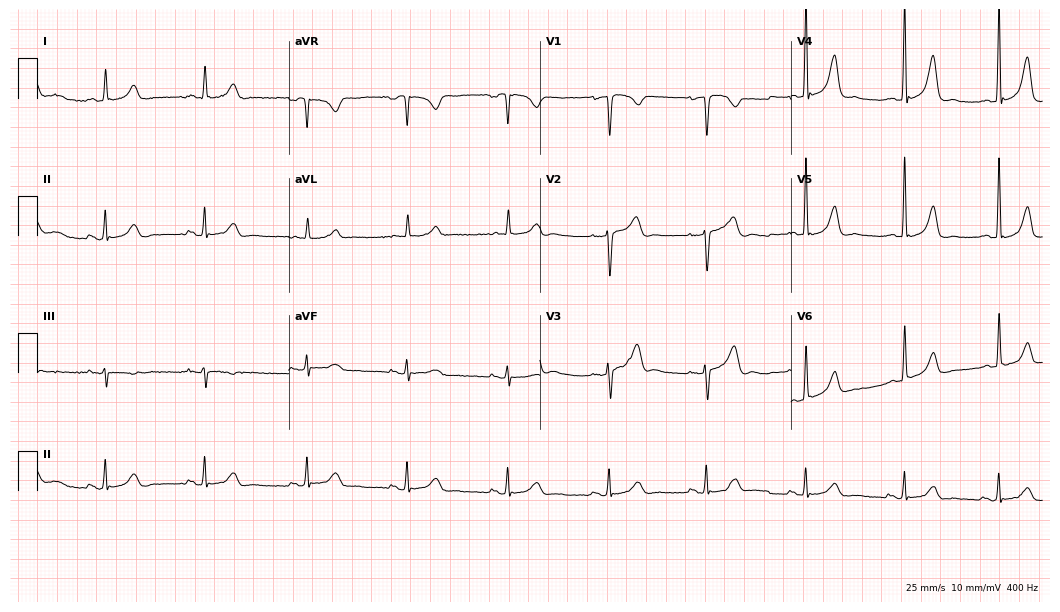
Standard 12-lead ECG recorded from a female, 48 years old. None of these six findings is recorded: first-degree AV block, right bundle branch block, left bundle branch block, sinus bradycardia, atrial fibrillation, sinus tachycardia. Findings outside these six are not listed.